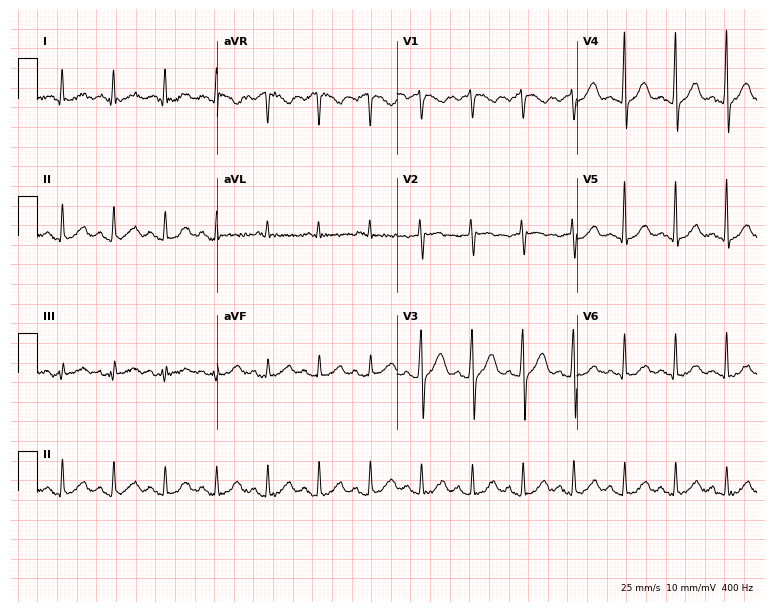
Standard 12-lead ECG recorded from a 45-year-old man. The tracing shows sinus tachycardia (a sinus rate of 100 beats per minute or more).